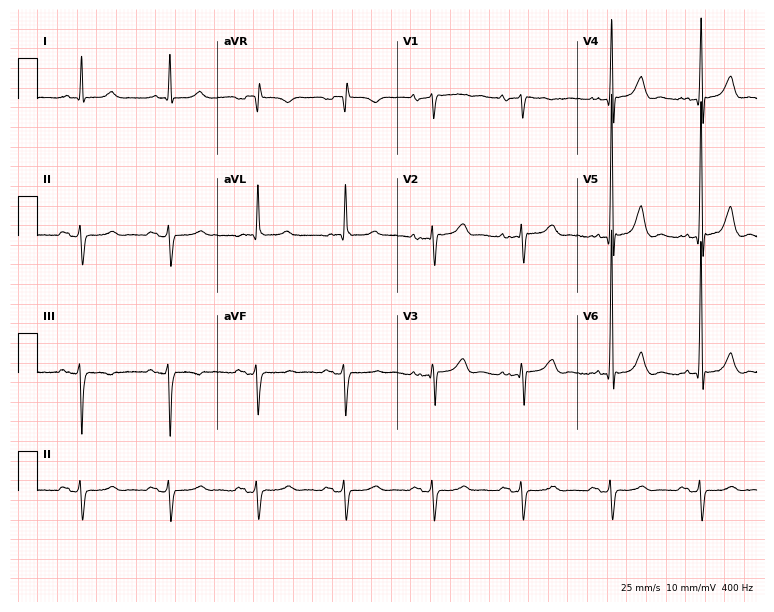
Standard 12-lead ECG recorded from a male patient, 73 years old (7.3-second recording at 400 Hz). None of these six findings is recorded: first-degree AV block, right bundle branch block (RBBB), left bundle branch block (LBBB), sinus bradycardia, atrial fibrillation (AF), sinus tachycardia.